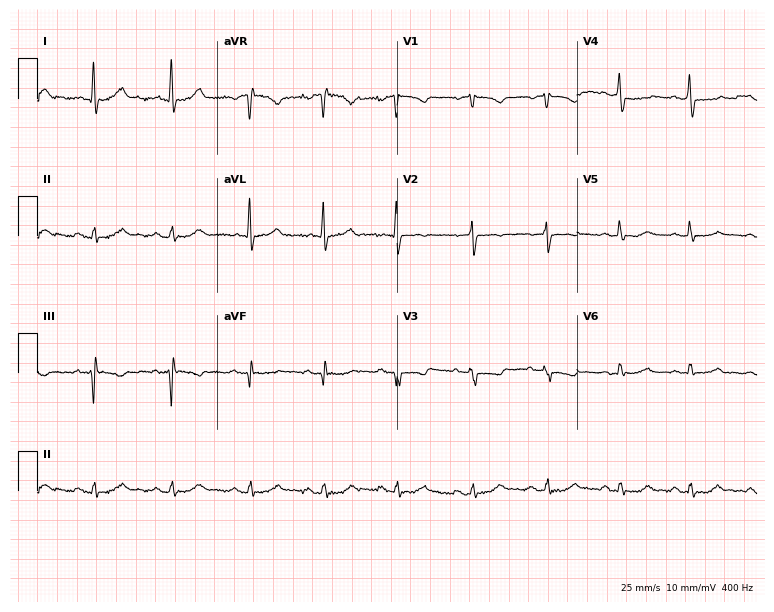
Resting 12-lead electrocardiogram (7.3-second recording at 400 Hz). Patient: a female, 58 years old. None of these six findings is recorded: first-degree AV block, right bundle branch block, left bundle branch block, sinus bradycardia, atrial fibrillation, sinus tachycardia. Only these six findings were labelled.